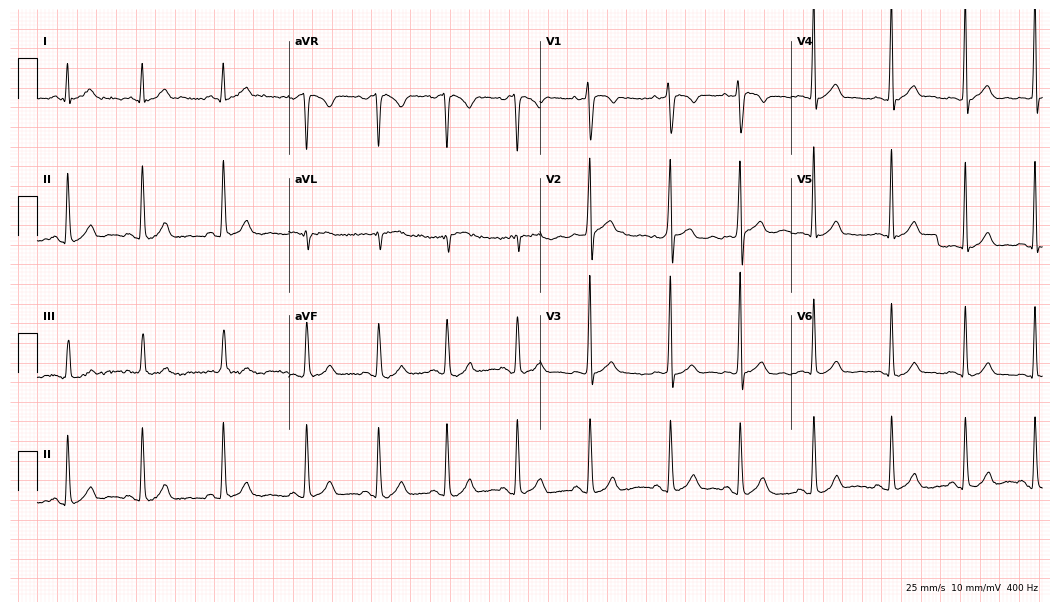
Resting 12-lead electrocardiogram. Patient: a male, 30 years old. Read as a normal ECG.